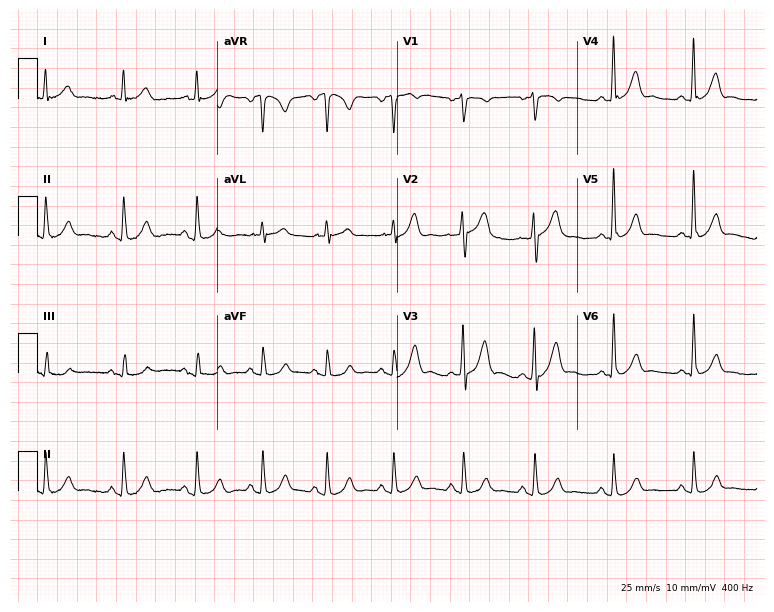
ECG — a male, 45 years old. Labelled as a normal ECG.